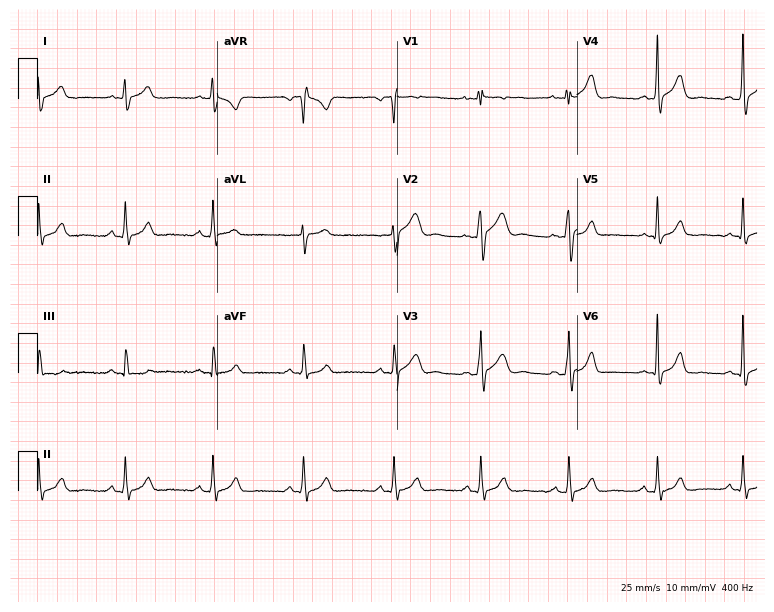
Electrocardiogram (7.3-second recording at 400 Hz), a 27-year-old male patient. Overall reading on record: normal ECG.